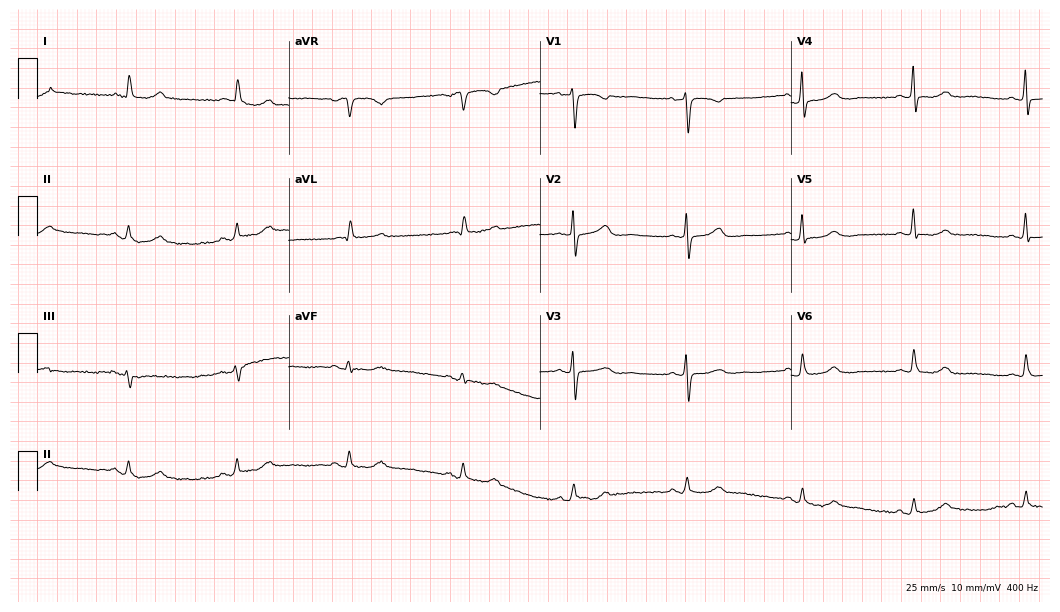
Standard 12-lead ECG recorded from a 71-year-old female patient (10.2-second recording at 400 Hz). Read as a normal ECG.